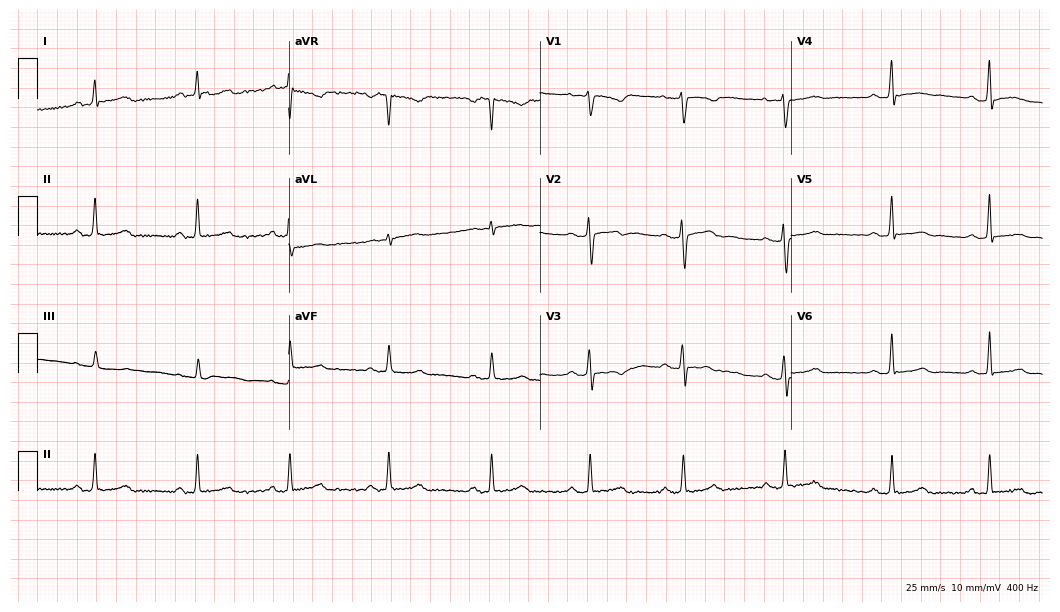
12-lead ECG from a 38-year-old woman. Recorded interpretation: within normal limits.